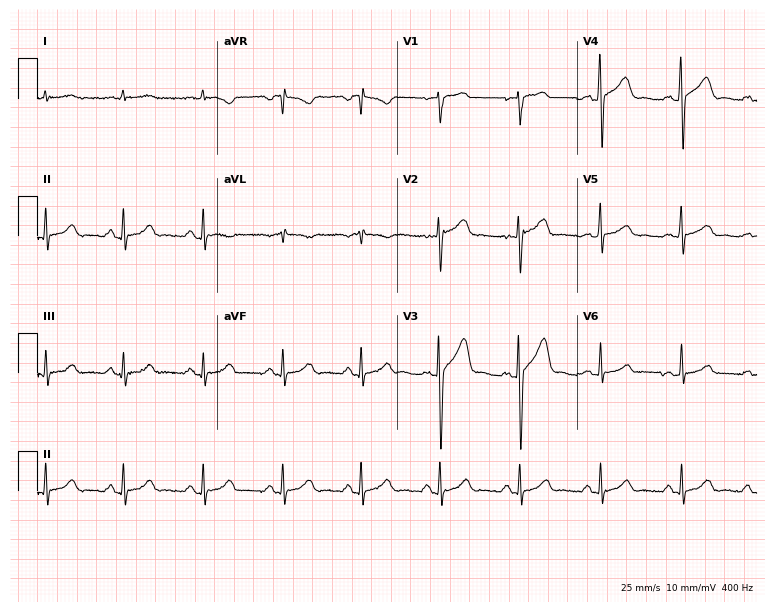
Resting 12-lead electrocardiogram. Patient: an 81-year-old man. Read as a normal ECG.